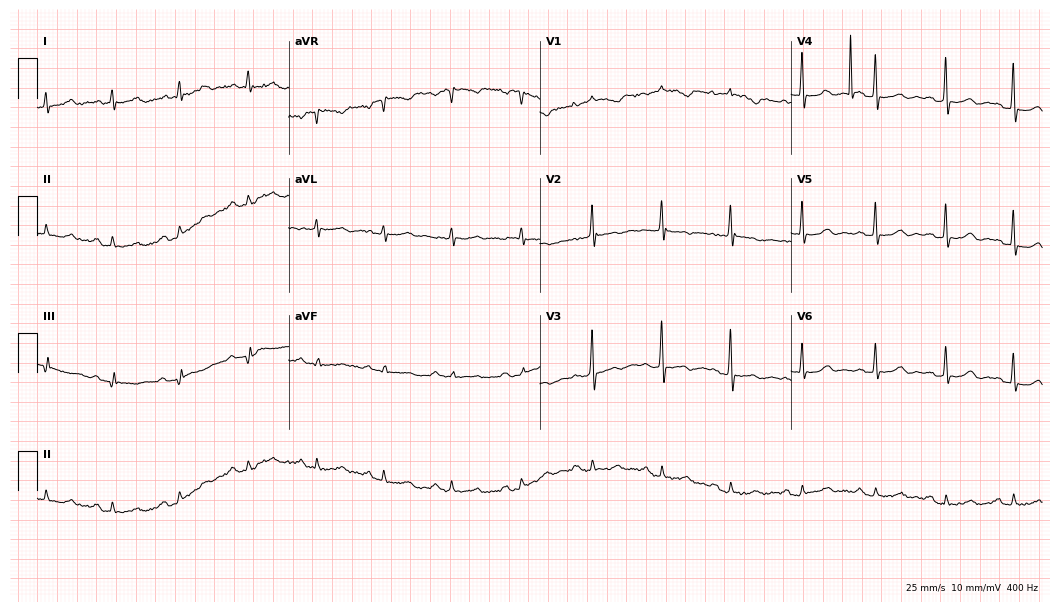
Electrocardiogram (10.2-second recording at 400 Hz), a female, 67 years old. Of the six screened findings (first-degree AV block, right bundle branch block (RBBB), left bundle branch block (LBBB), sinus bradycardia, atrial fibrillation (AF), sinus tachycardia), none is recorded.